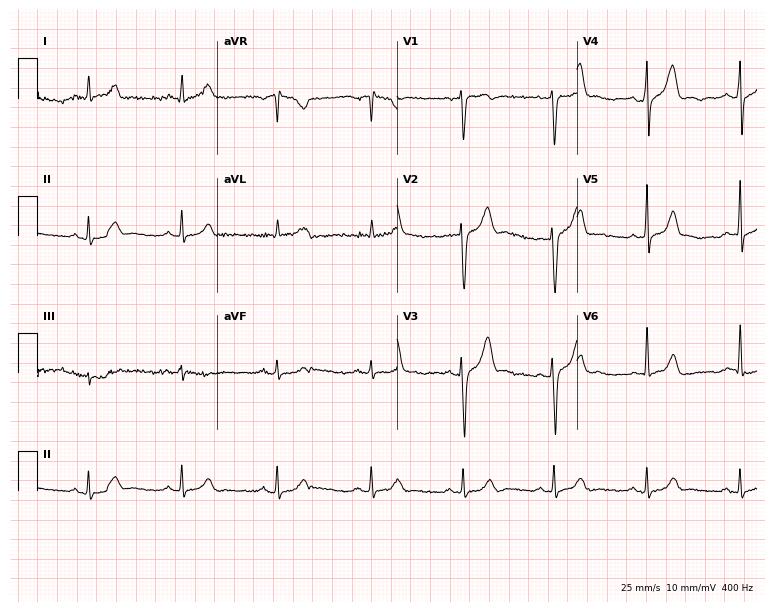
Electrocardiogram (7.3-second recording at 400 Hz), a man, 31 years old. Overall reading on record: normal ECG.